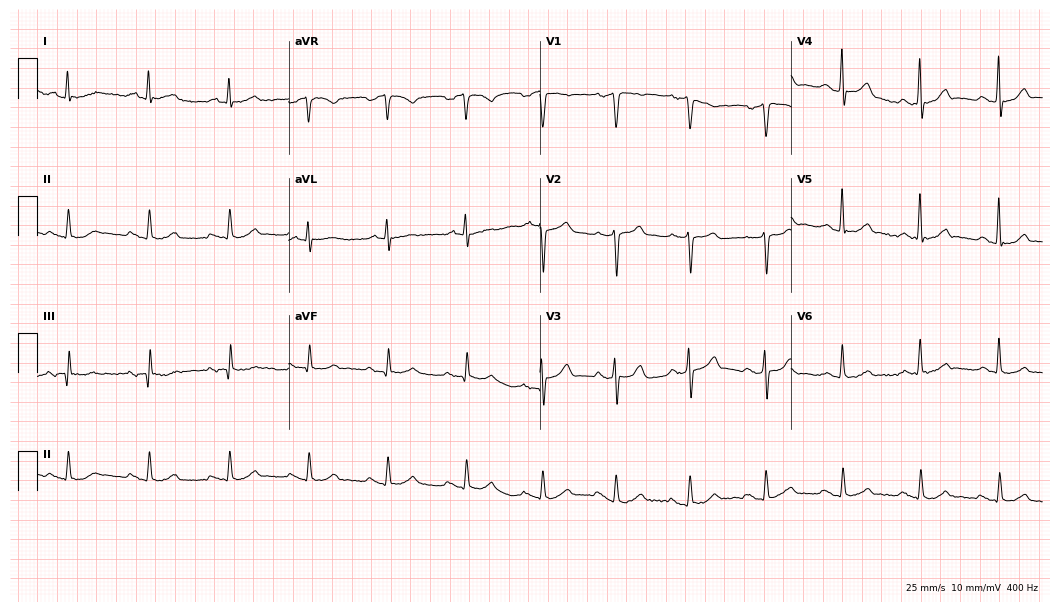
12-lead ECG from a male patient, 59 years old (10.2-second recording at 400 Hz). No first-degree AV block, right bundle branch block, left bundle branch block, sinus bradycardia, atrial fibrillation or sinus tachycardia recorded for this tracing. Other findings, if any, are not listed.